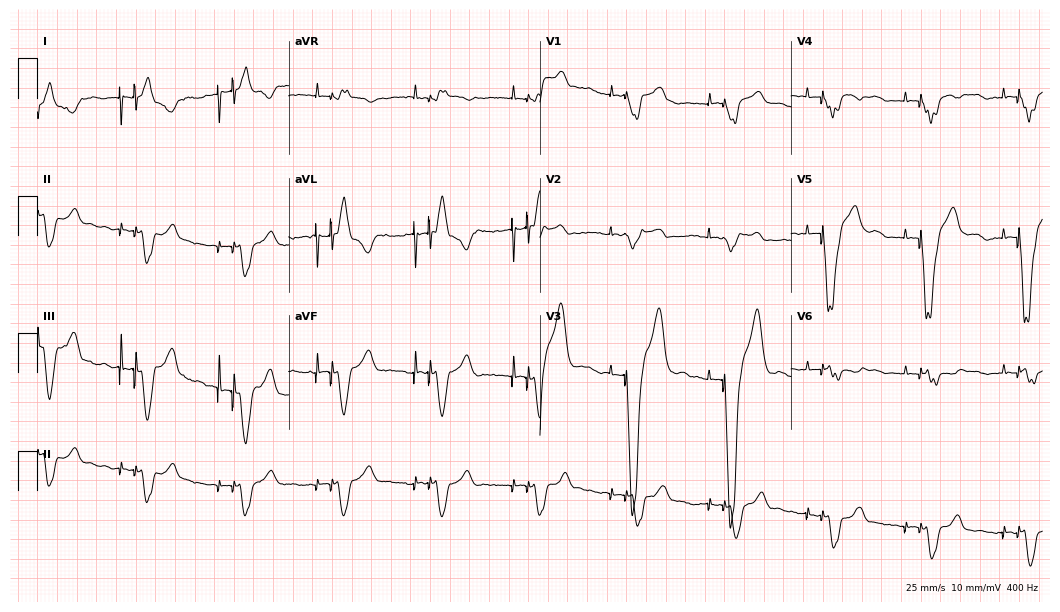
Resting 12-lead electrocardiogram. Patient: a 74-year-old man. None of these six findings is recorded: first-degree AV block, right bundle branch block, left bundle branch block, sinus bradycardia, atrial fibrillation, sinus tachycardia.